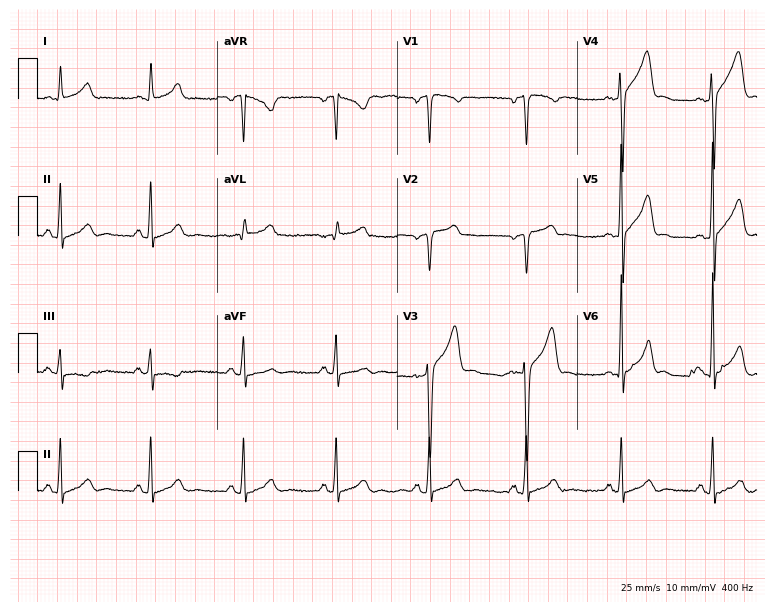
ECG (7.3-second recording at 400 Hz) — a 40-year-old male patient. Screened for six findings — first-degree AV block, right bundle branch block (RBBB), left bundle branch block (LBBB), sinus bradycardia, atrial fibrillation (AF), sinus tachycardia — none is recorded.